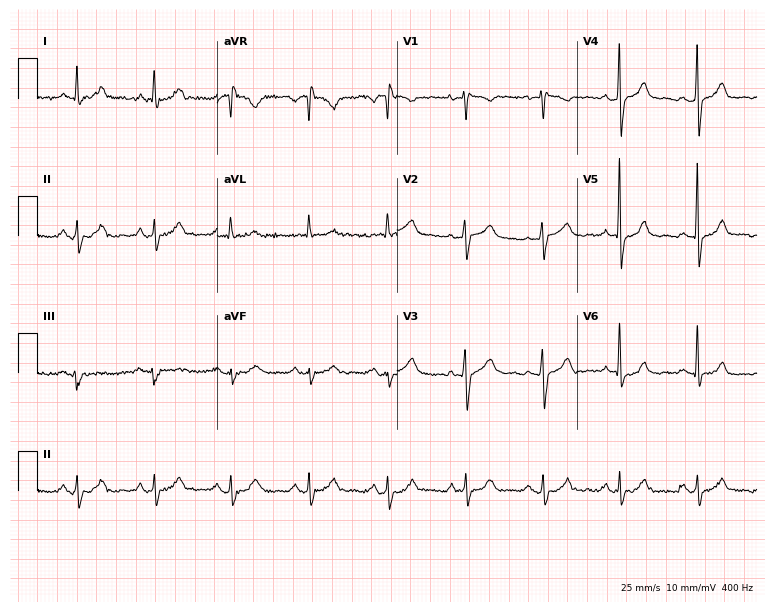
12-lead ECG from a 61-year-old male. No first-degree AV block, right bundle branch block (RBBB), left bundle branch block (LBBB), sinus bradycardia, atrial fibrillation (AF) or sinus tachycardia recorded for this tracing. Other findings, if any, are not listed.